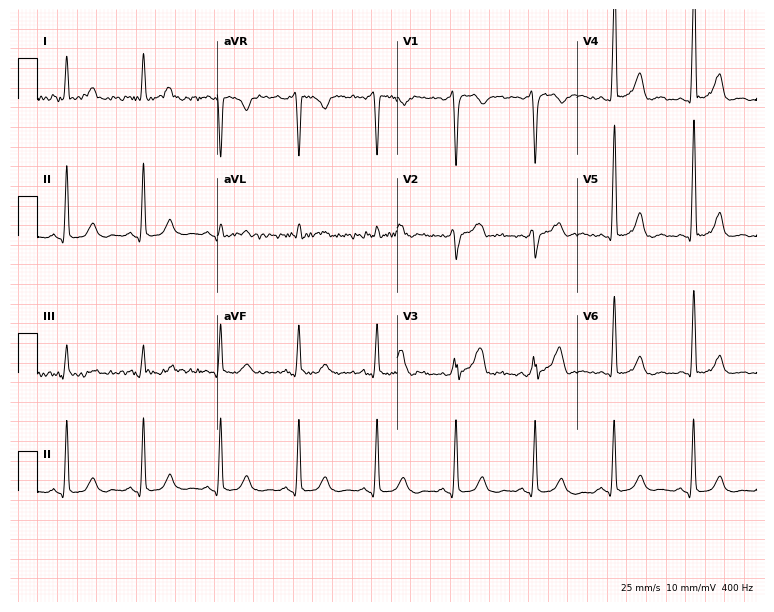
Standard 12-lead ECG recorded from a male, 44 years old. None of these six findings is recorded: first-degree AV block, right bundle branch block (RBBB), left bundle branch block (LBBB), sinus bradycardia, atrial fibrillation (AF), sinus tachycardia. Other findings, if any, are not listed.